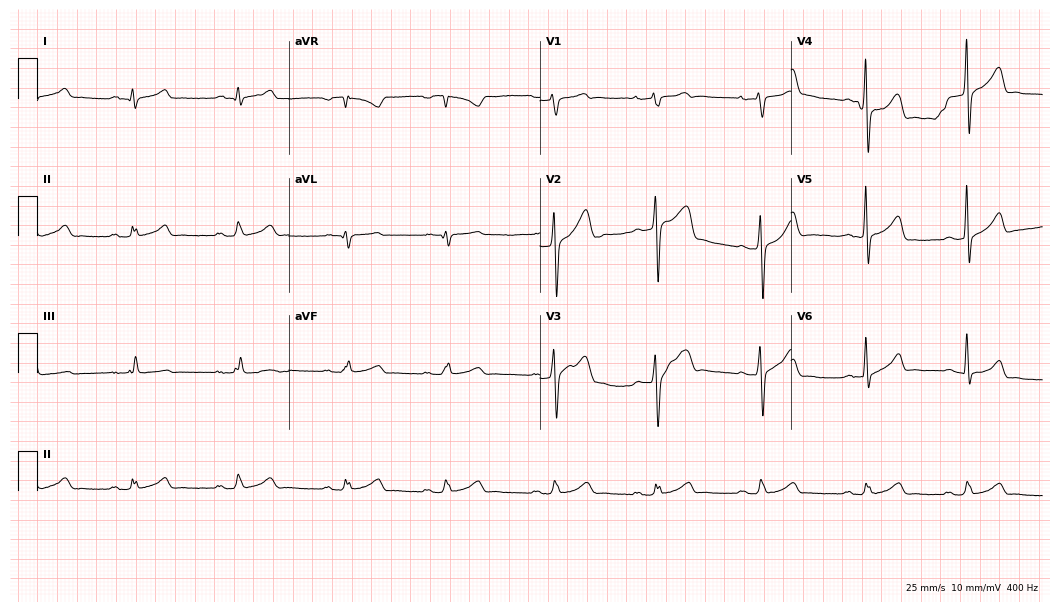
Resting 12-lead electrocardiogram (10.2-second recording at 400 Hz). Patient: a 27-year-old male. None of these six findings is recorded: first-degree AV block, right bundle branch block, left bundle branch block, sinus bradycardia, atrial fibrillation, sinus tachycardia. Only these six findings were labelled.